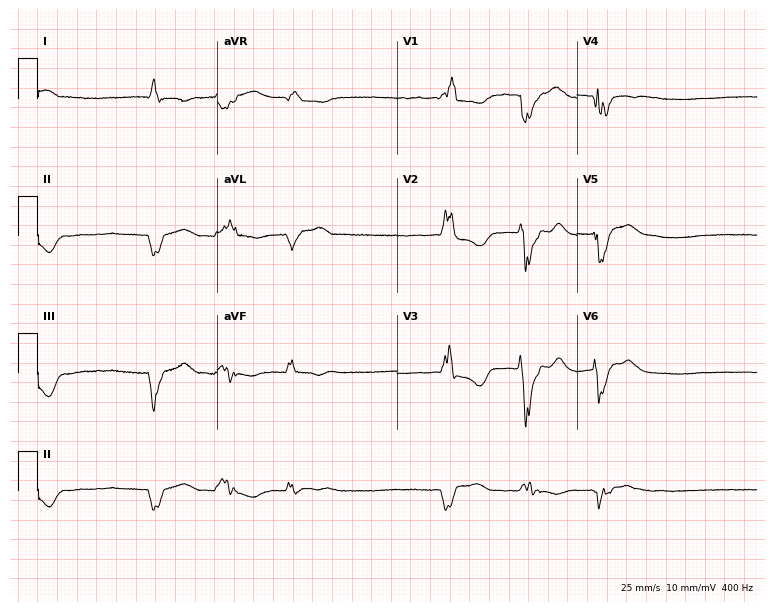
12-lead ECG from a female patient, 57 years old. Shows right bundle branch block.